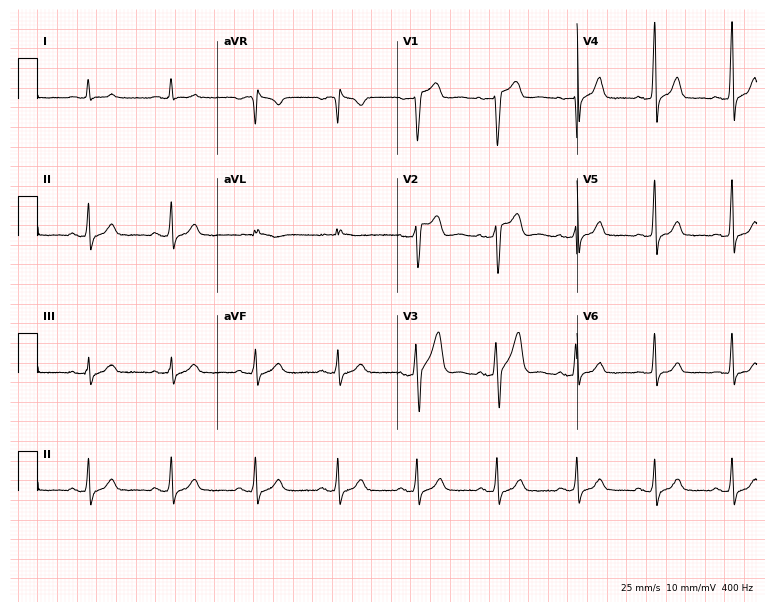
Standard 12-lead ECG recorded from a male patient, 57 years old. Read as a normal ECG.